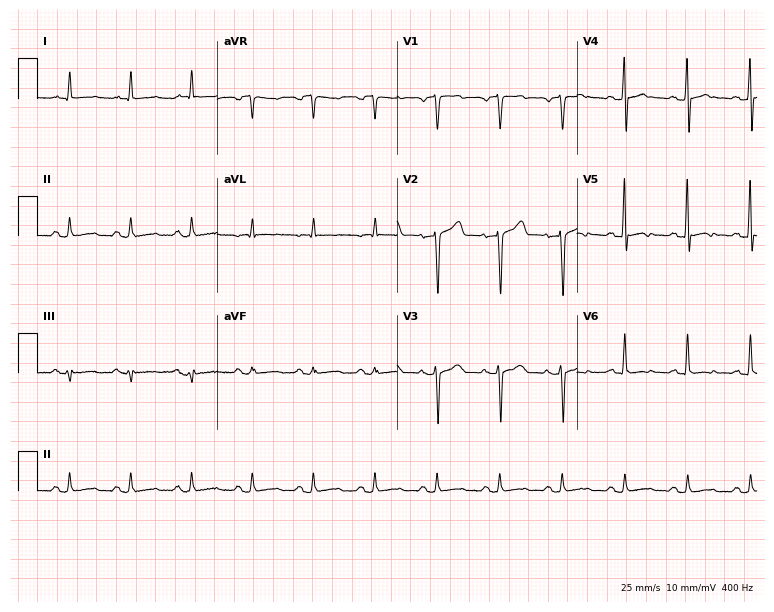
Electrocardiogram (7.3-second recording at 400 Hz), a male patient, 58 years old. Of the six screened findings (first-degree AV block, right bundle branch block, left bundle branch block, sinus bradycardia, atrial fibrillation, sinus tachycardia), none is recorded.